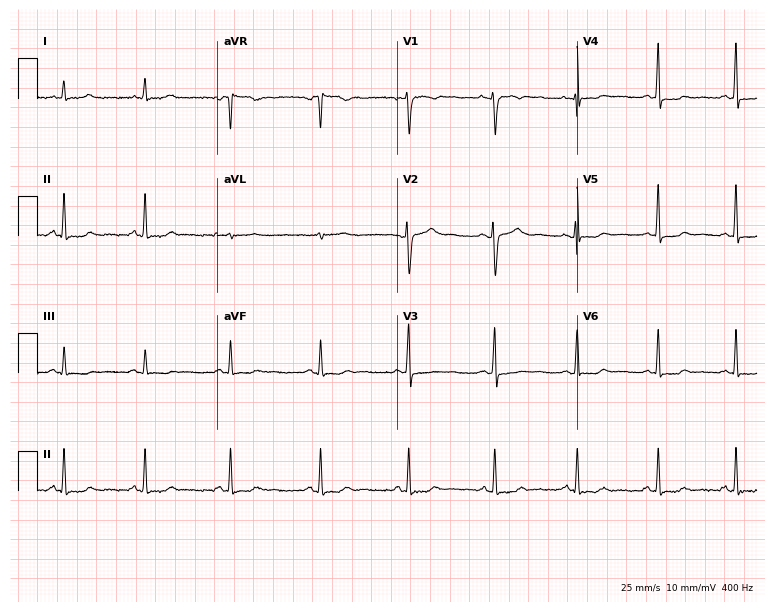
12-lead ECG from a female patient, 37 years old. No first-degree AV block, right bundle branch block, left bundle branch block, sinus bradycardia, atrial fibrillation or sinus tachycardia recorded for this tracing. Other findings, if any, are not listed.